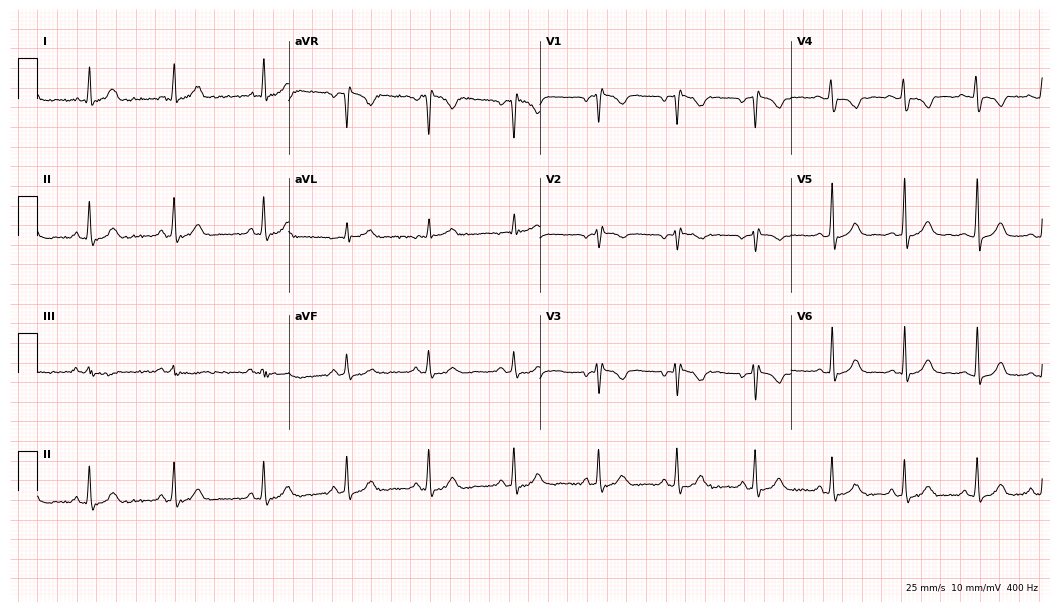
12-lead ECG from a 22-year-old female patient (10.2-second recording at 400 Hz). No first-degree AV block, right bundle branch block (RBBB), left bundle branch block (LBBB), sinus bradycardia, atrial fibrillation (AF) or sinus tachycardia recorded for this tracing. Findings outside these six are not listed.